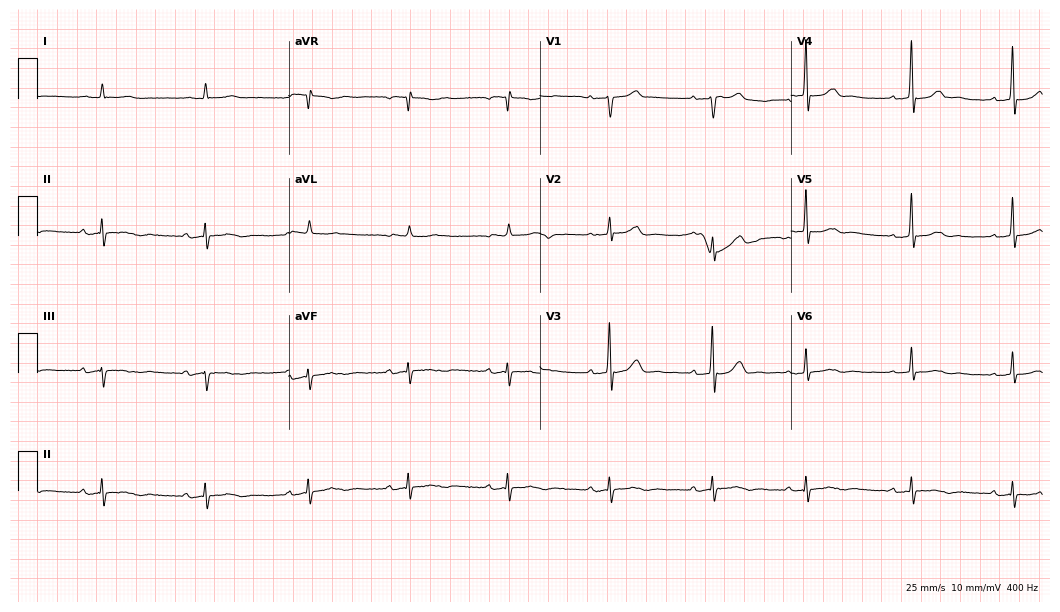
Electrocardiogram, a man, 79 years old. Of the six screened findings (first-degree AV block, right bundle branch block, left bundle branch block, sinus bradycardia, atrial fibrillation, sinus tachycardia), none is recorded.